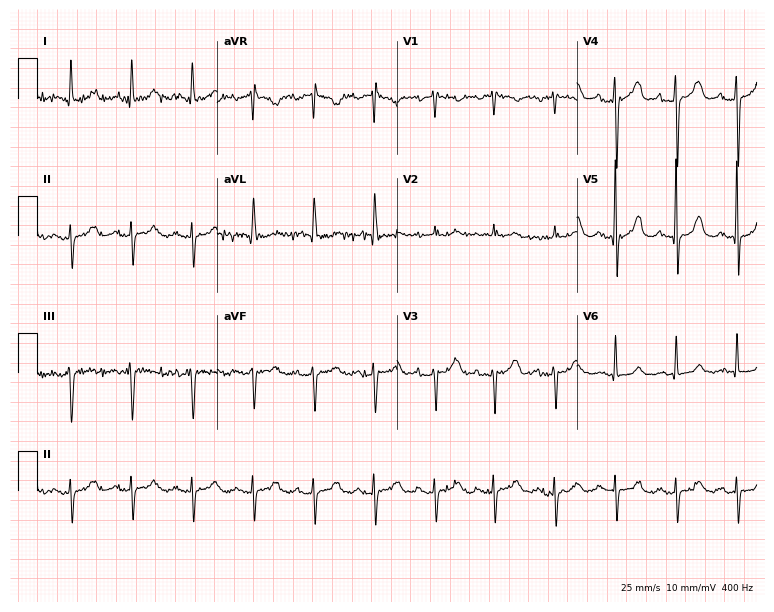
ECG (7.3-second recording at 400 Hz) — a female, 75 years old. Screened for six findings — first-degree AV block, right bundle branch block, left bundle branch block, sinus bradycardia, atrial fibrillation, sinus tachycardia — none is recorded.